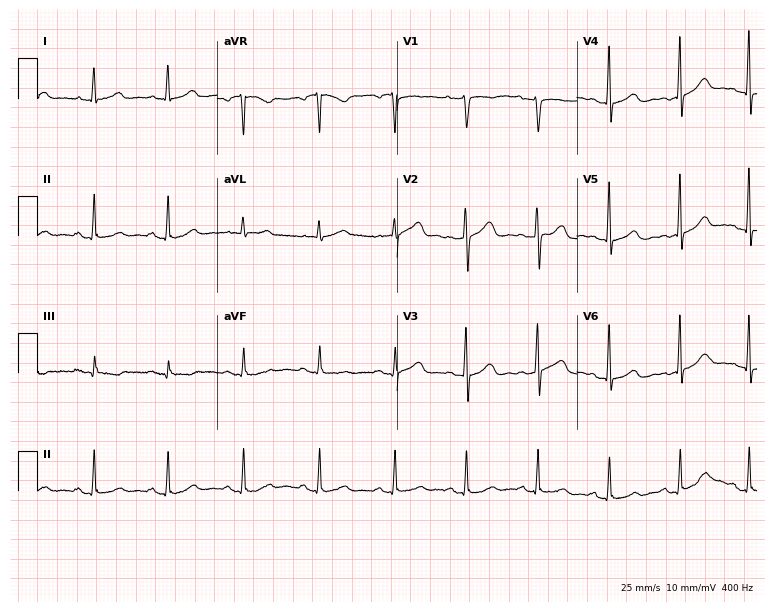
Electrocardiogram, a female, 51 years old. Overall reading on record: normal ECG.